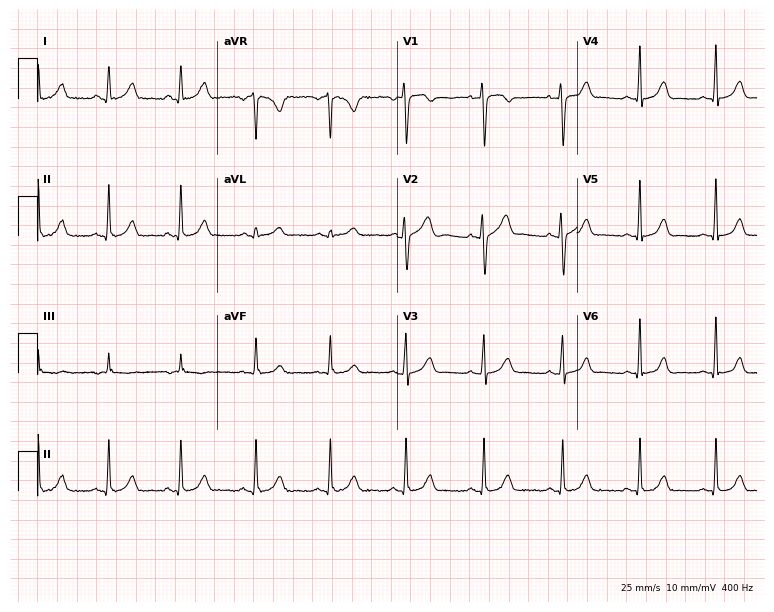
Standard 12-lead ECG recorded from a 39-year-old female (7.3-second recording at 400 Hz). None of these six findings is recorded: first-degree AV block, right bundle branch block, left bundle branch block, sinus bradycardia, atrial fibrillation, sinus tachycardia.